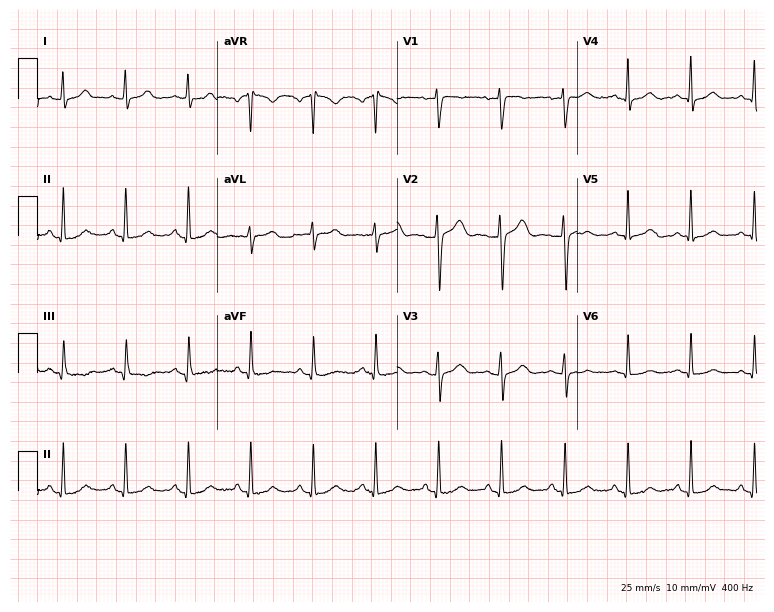
12-lead ECG (7.3-second recording at 400 Hz) from a female patient, 28 years old. Labelled as a normal ECG.